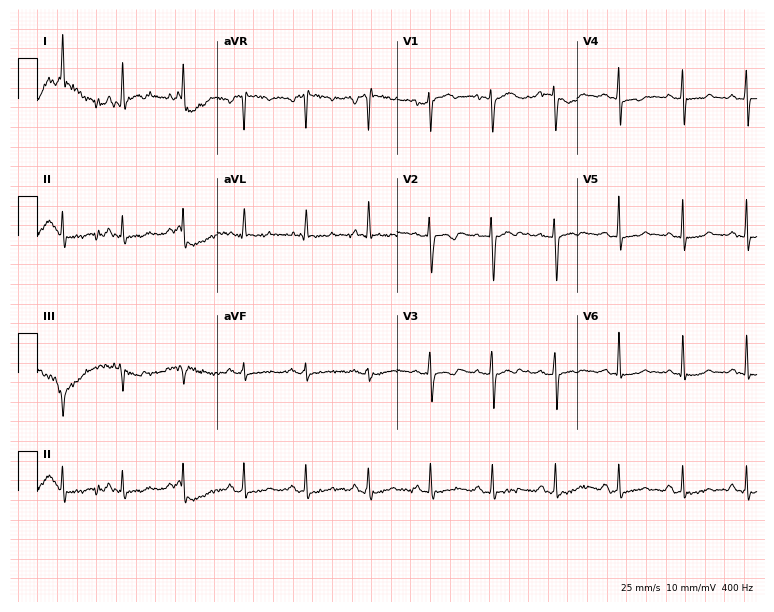
Resting 12-lead electrocardiogram. Patient: a man, 32 years old. None of these six findings is recorded: first-degree AV block, right bundle branch block (RBBB), left bundle branch block (LBBB), sinus bradycardia, atrial fibrillation (AF), sinus tachycardia. Only these six findings were labelled.